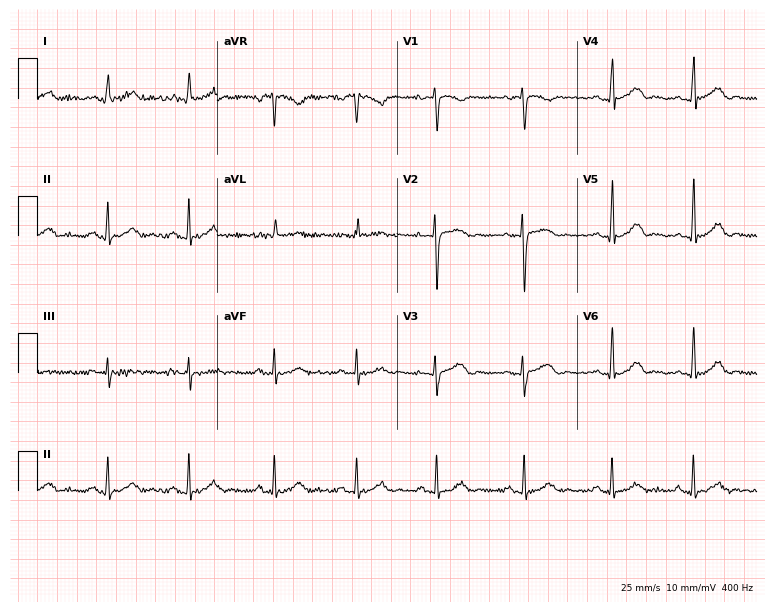
Standard 12-lead ECG recorded from a woman, 32 years old (7.3-second recording at 400 Hz). Read as a normal ECG.